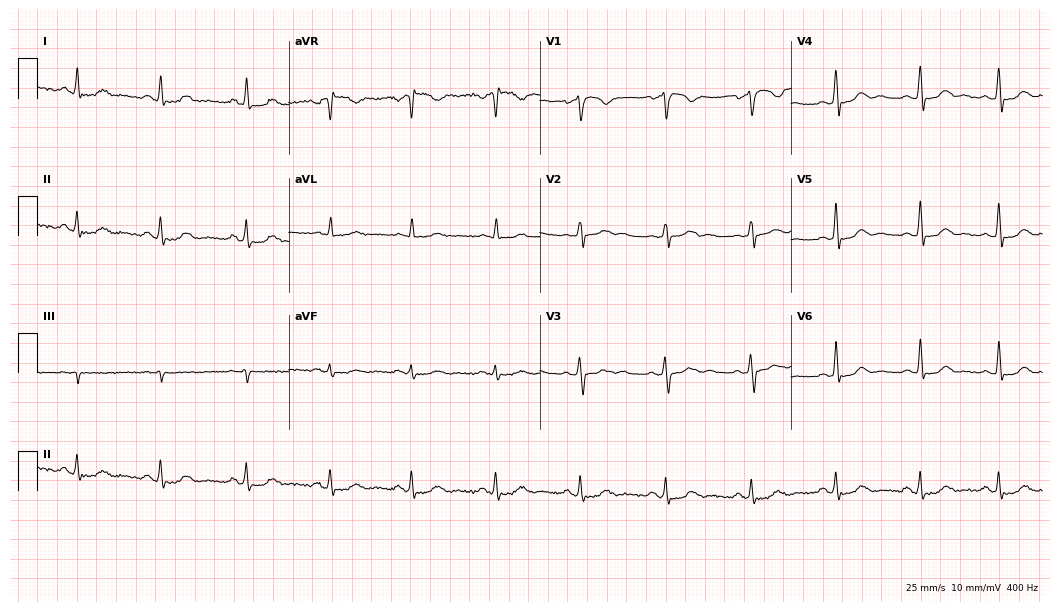
Resting 12-lead electrocardiogram. Patient: a female, 46 years old. Read as a normal ECG.